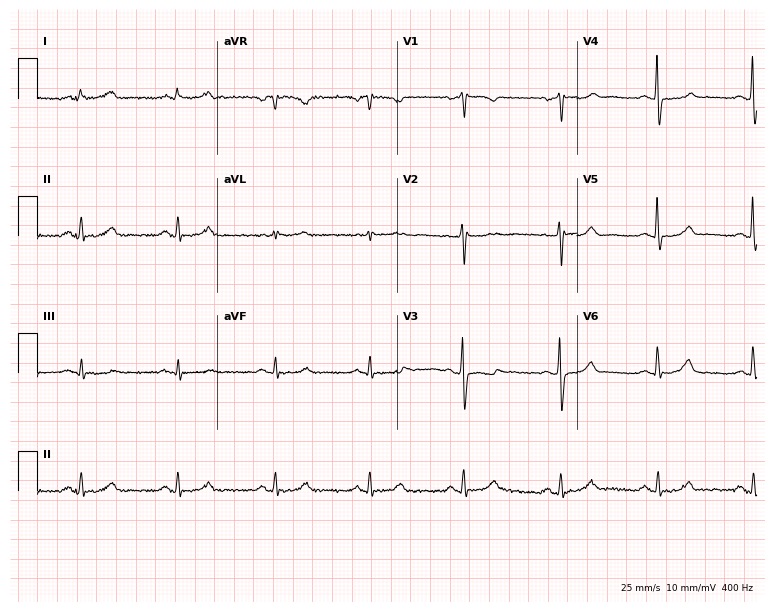
12-lead ECG from a woman, 62 years old. Recorded interpretation: within normal limits.